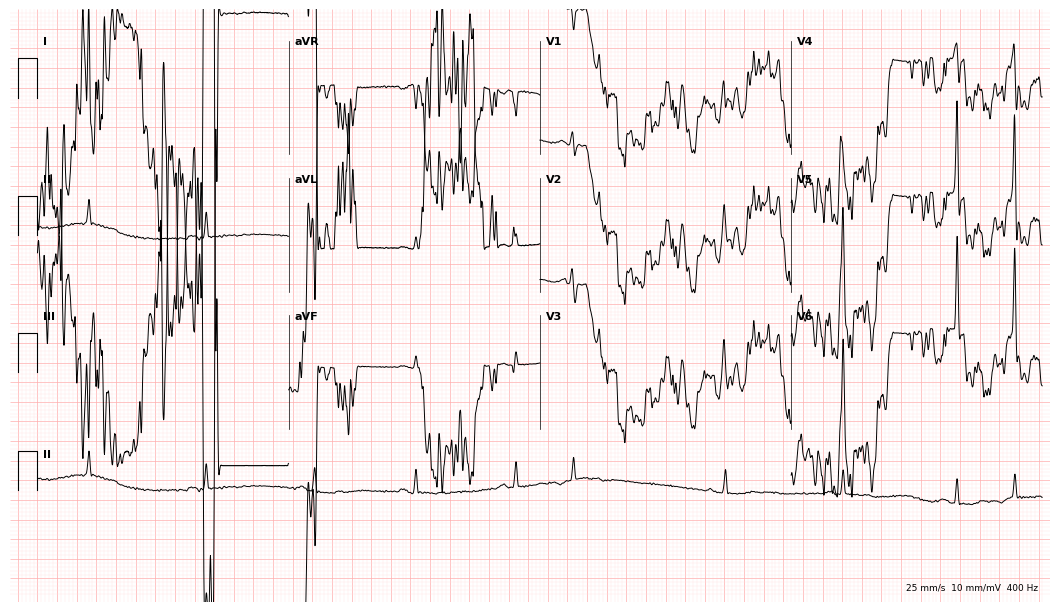
12-lead ECG (10.2-second recording at 400 Hz) from an 82-year-old male patient. Findings include sinus bradycardia (a sinus rate of 50 beats per minute or less).